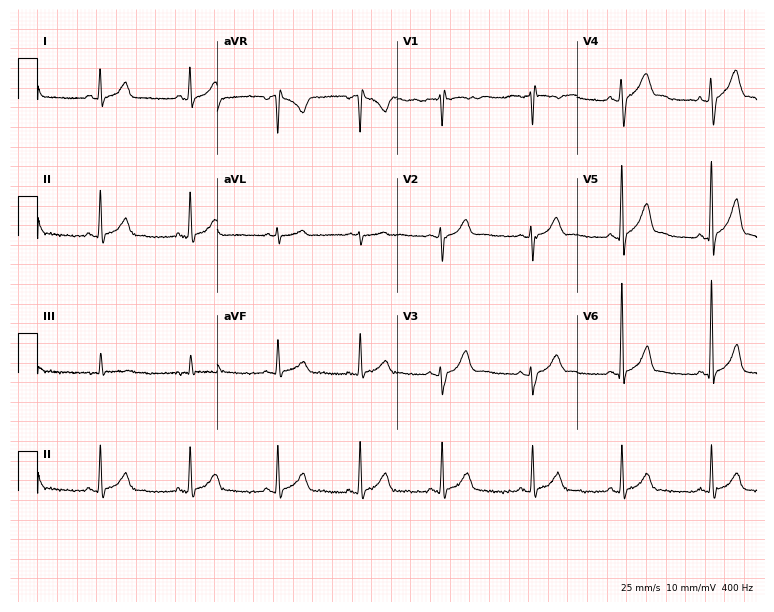
Resting 12-lead electrocardiogram (7.3-second recording at 400 Hz). Patient: a male, 21 years old. None of these six findings is recorded: first-degree AV block, right bundle branch block (RBBB), left bundle branch block (LBBB), sinus bradycardia, atrial fibrillation (AF), sinus tachycardia.